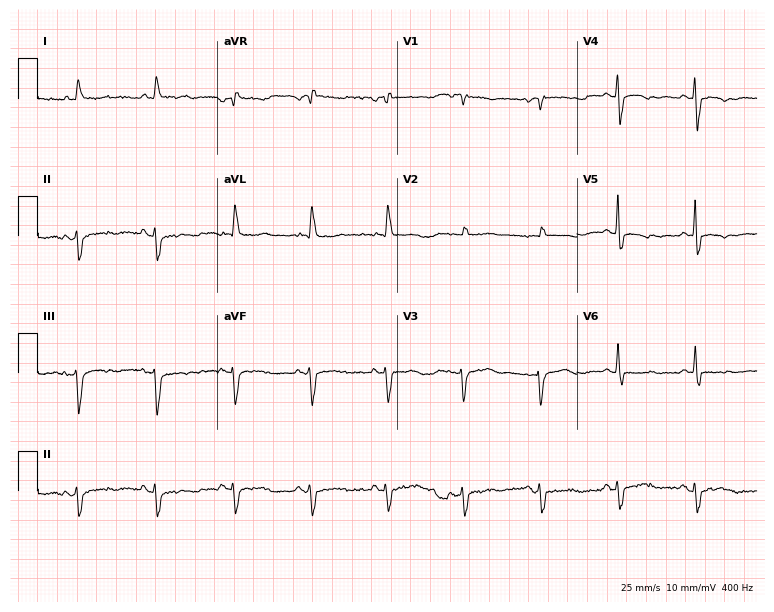
12-lead ECG (7.3-second recording at 400 Hz) from a female patient, 79 years old. Screened for six findings — first-degree AV block, right bundle branch block, left bundle branch block, sinus bradycardia, atrial fibrillation, sinus tachycardia — none is recorded. Only these six findings were labelled.